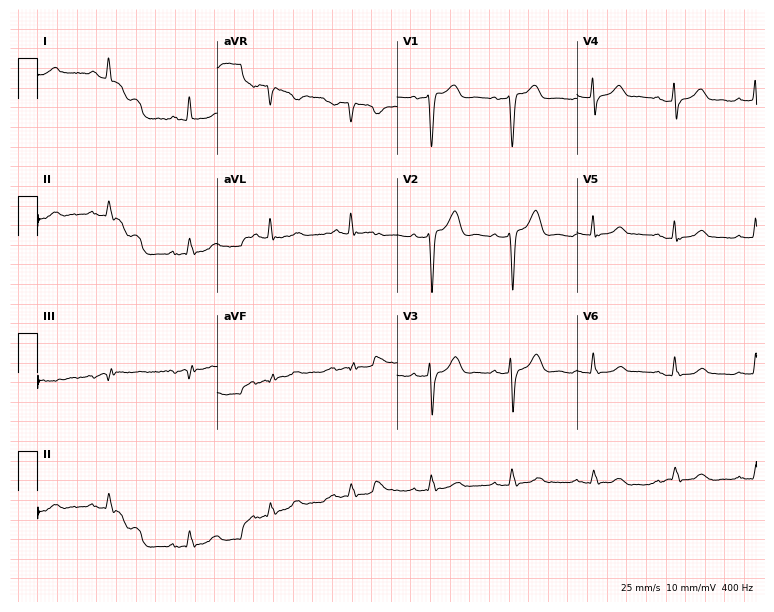
12-lead ECG from an 84-year-old woman. Screened for six findings — first-degree AV block, right bundle branch block, left bundle branch block, sinus bradycardia, atrial fibrillation, sinus tachycardia — none is recorded. Findings outside these six are not listed.